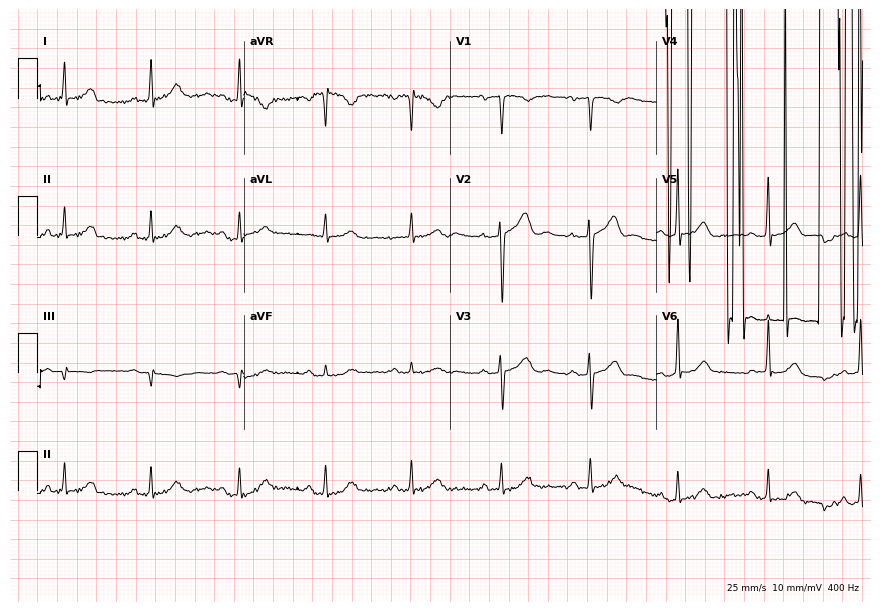
ECG (8.4-second recording at 400 Hz) — a male patient, 65 years old. Screened for six findings — first-degree AV block, right bundle branch block, left bundle branch block, sinus bradycardia, atrial fibrillation, sinus tachycardia — none is recorded.